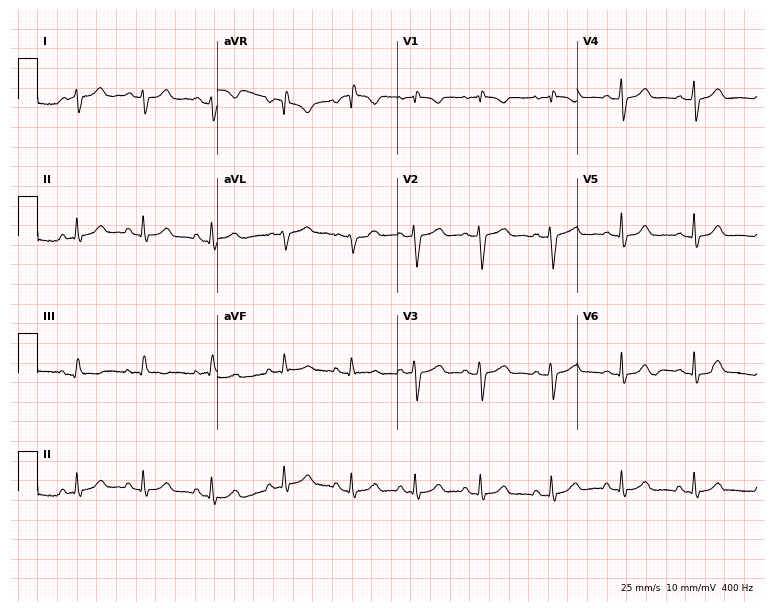
Electrocardiogram, a 17-year-old woman. Of the six screened findings (first-degree AV block, right bundle branch block, left bundle branch block, sinus bradycardia, atrial fibrillation, sinus tachycardia), none is recorded.